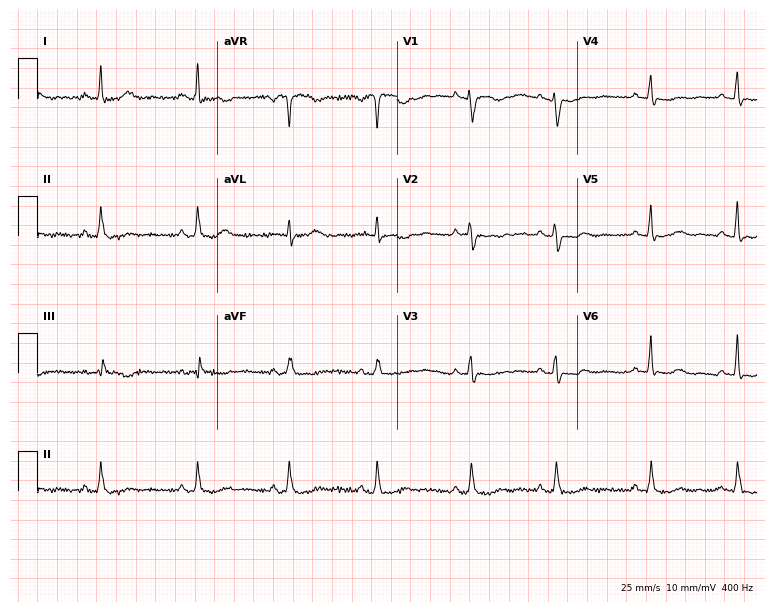
Standard 12-lead ECG recorded from a male, 42 years old. None of these six findings is recorded: first-degree AV block, right bundle branch block, left bundle branch block, sinus bradycardia, atrial fibrillation, sinus tachycardia.